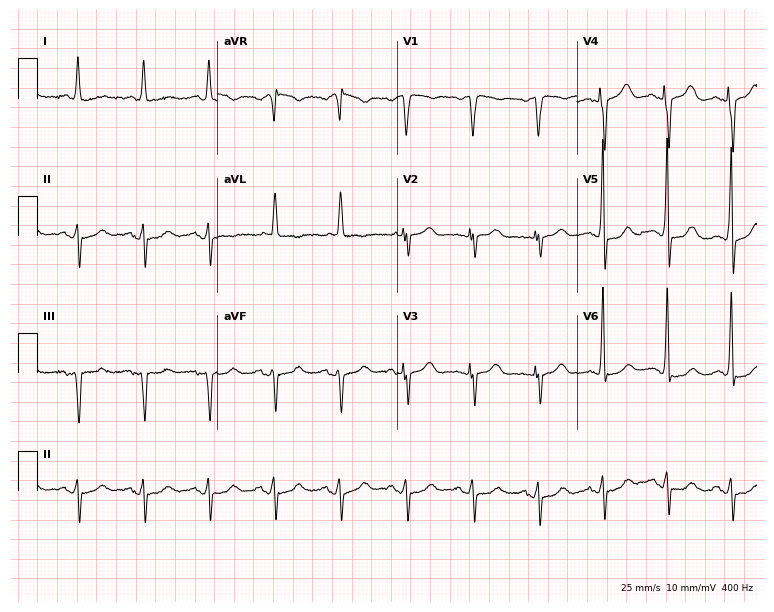
12-lead ECG (7.3-second recording at 400 Hz) from a female patient, 65 years old. Screened for six findings — first-degree AV block, right bundle branch block (RBBB), left bundle branch block (LBBB), sinus bradycardia, atrial fibrillation (AF), sinus tachycardia — none is recorded.